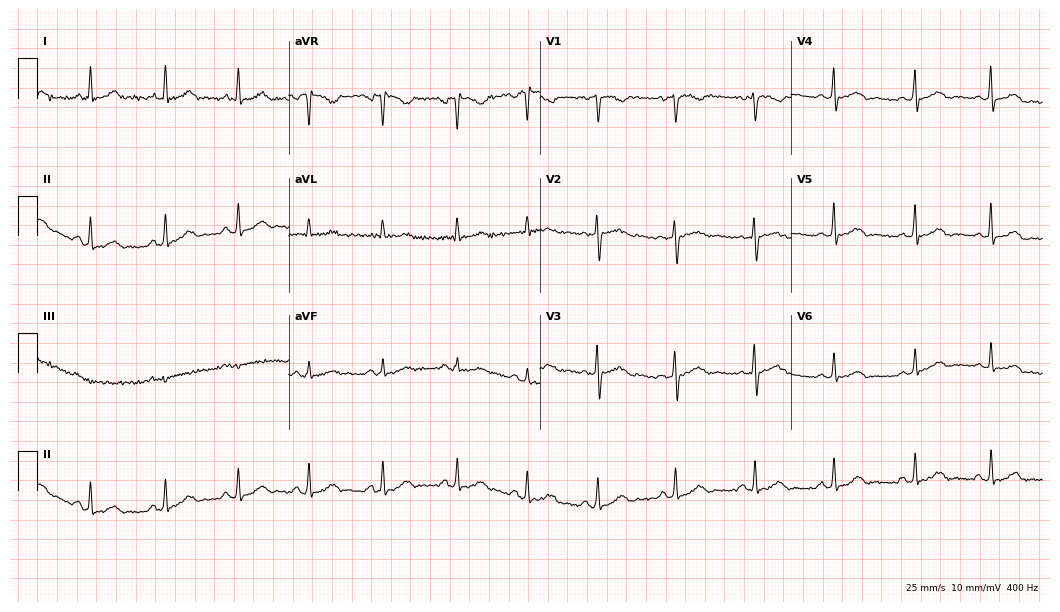
Electrocardiogram (10.2-second recording at 400 Hz), a 24-year-old female patient. Overall reading on record: normal ECG.